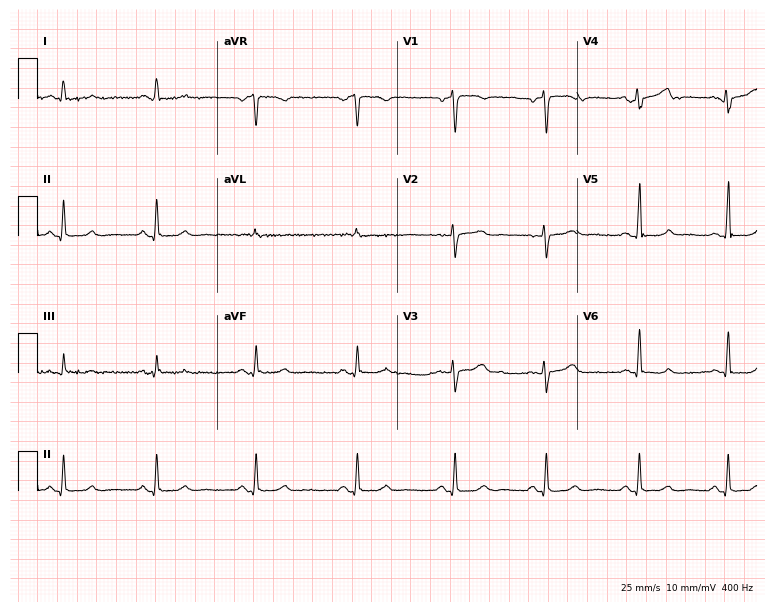
Resting 12-lead electrocardiogram (7.3-second recording at 400 Hz). Patient: a 38-year-old female. None of these six findings is recorded: first-degree AV block, right bundle branch block, left bundle branch block, sinus bradycardia, atrial fibrillation, sinus tachycardia. Findings outside these six are not listed.